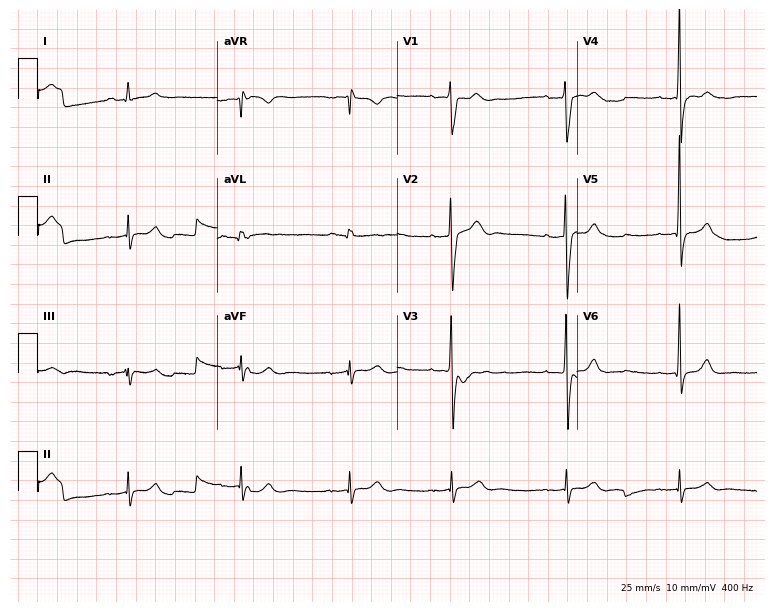
12-lead ECG from a male, 26 years old. Findings include first-degree AV block.